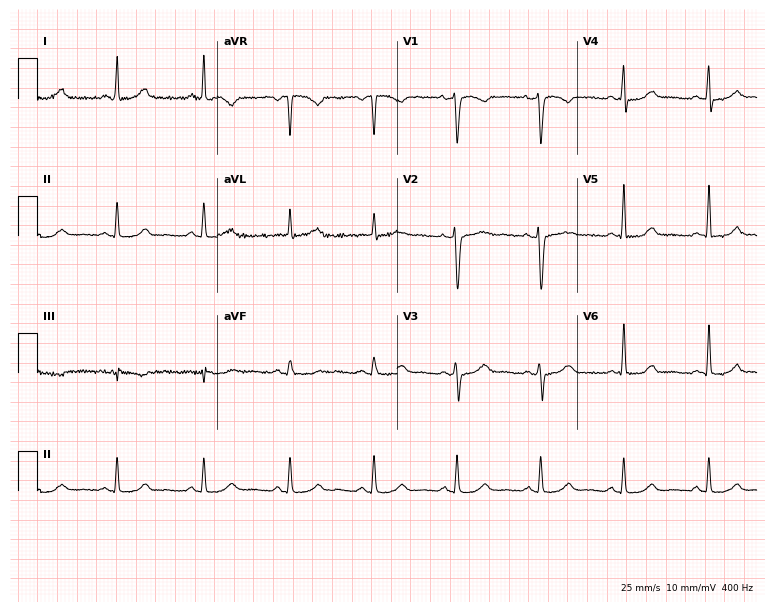
ECG (7.3-second recording at 400 Hz) — a female, 44 years old. Screened for six findings — first-degree AV block, right bundle branch block, left bundle branch block, sinus bradycardia, atrial fibrillation, sinus tachycardia — none is recorded.